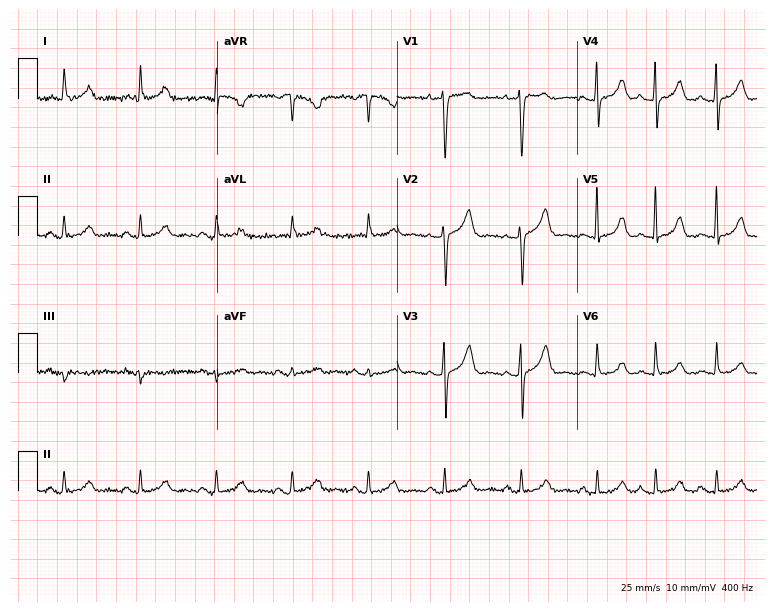
Resting 12-lead electrocardiogram. Patient: a female, 80 years old. Read as a normal ECG.